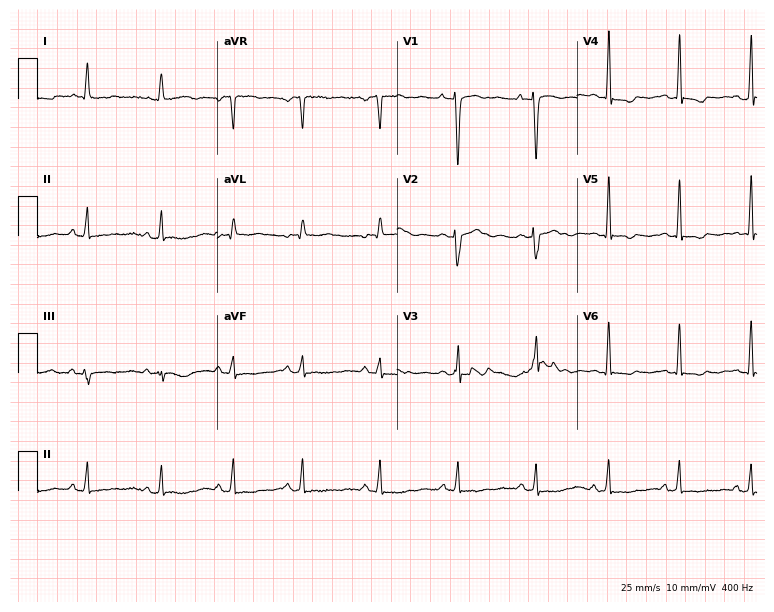
Resting 12-lead electrocardiogram. Patient: a woman, 24 years old. None of these six findings is recorded: first-degree AV block, right bundle branch block (RBBB), left bundle branch block (LBBB), sinus bradycardia, atrial fibrillation (AF), sinus tachycardia.